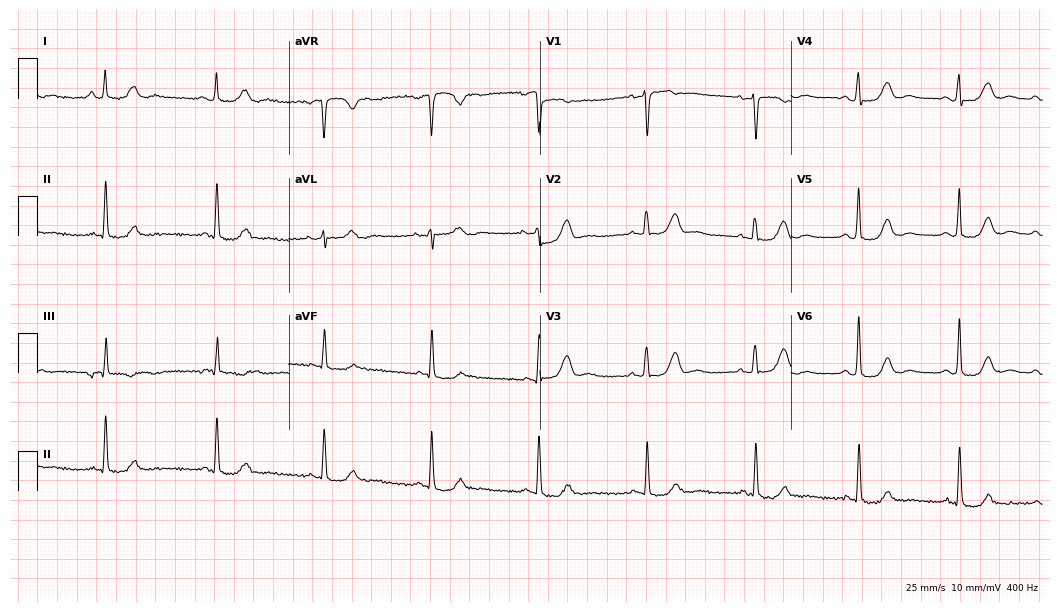
12-lead ECG from a 73-year-old female. Screened for six findings — first-degree AV block, right bundle branch block (RBBB), left bundle branch block (LBBB), sinus bradycardia, atrial fibrillation (AF), sinus tachycardia — none is recorded.